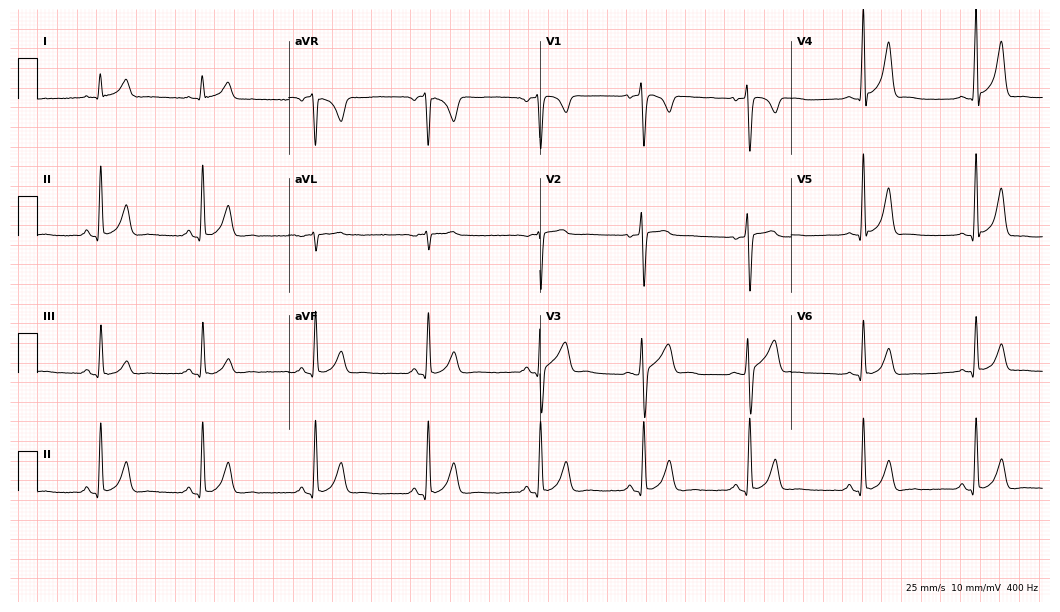
Resting 12-lead electrocardiogram (10.2-second recording at 400 Hz). Patient: a male, 23 years old. None of these six findings is recorded: first-degree AV block, right bundle branch block (RBBB), left bundle branch block (LBBB), sinus bradycardia, atrial fibrillation (AF), sinus tachycardia.